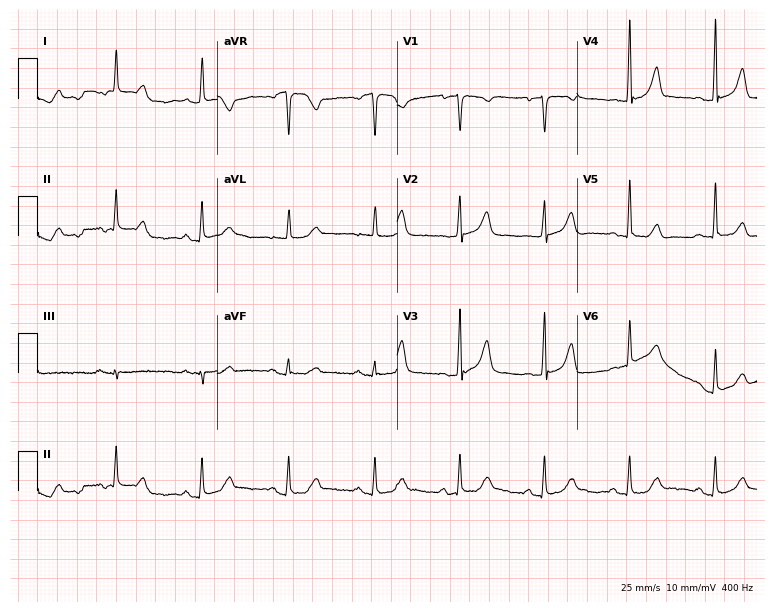
ECG — a 56-year-old female. Screened for six findings — first-degree AV block, right bundle branch block, left bundle branch block, sinus bradycardia, atrial fibrillation, sinus tachycardia — none is recorded.